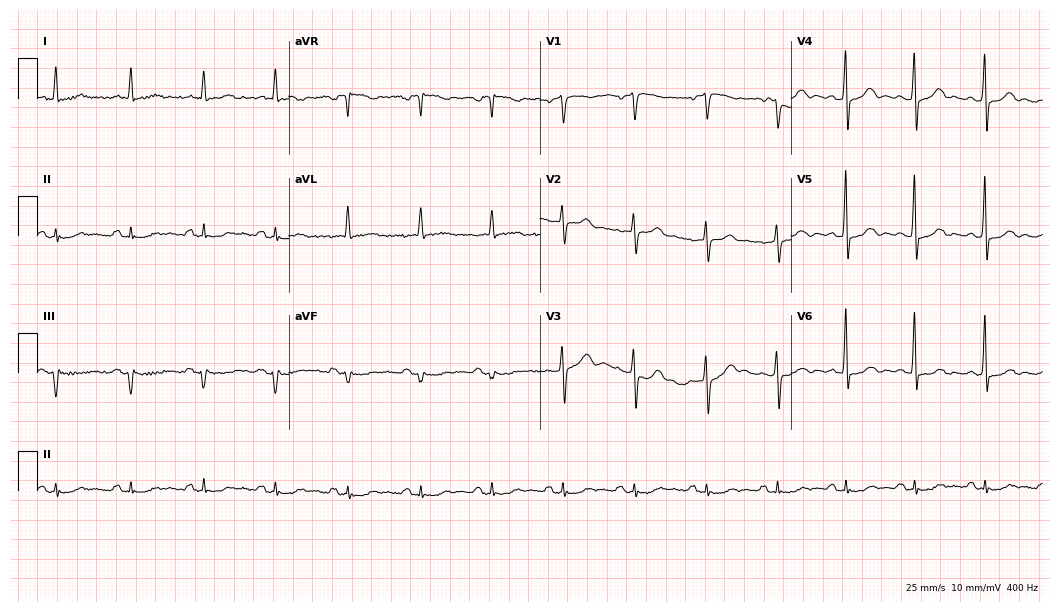
Resting 12-lead electrocardiogram (10.2-second recording at 400 Hz). Patient: a man, 68 years old. None of these six findings is recorded: first-degree AV block, right bundle branch block, left bundle branch block, sinus bradycardia, atrial fibrillation, sinus tachycardia. Only these six findings were labelled.